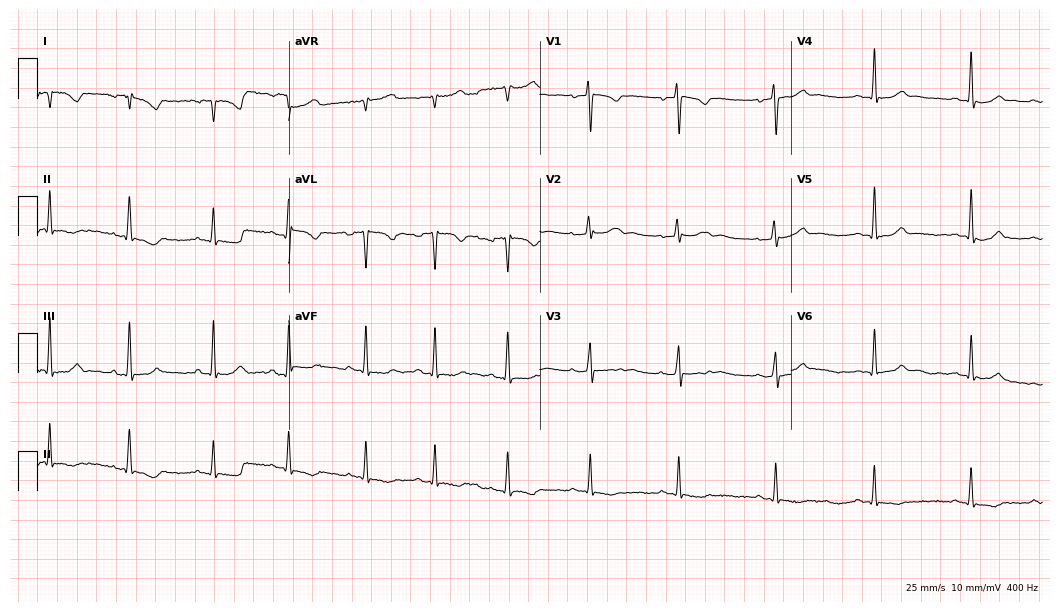
ECG — a woman, 19 years old. Screened for six findings — first-degree AV block, right bundle branch block (RBBB), left bundle branch block (LBBB), sinus bradycardia, atrial fibrillation (AF), sinus tachycardia — none is recorded.